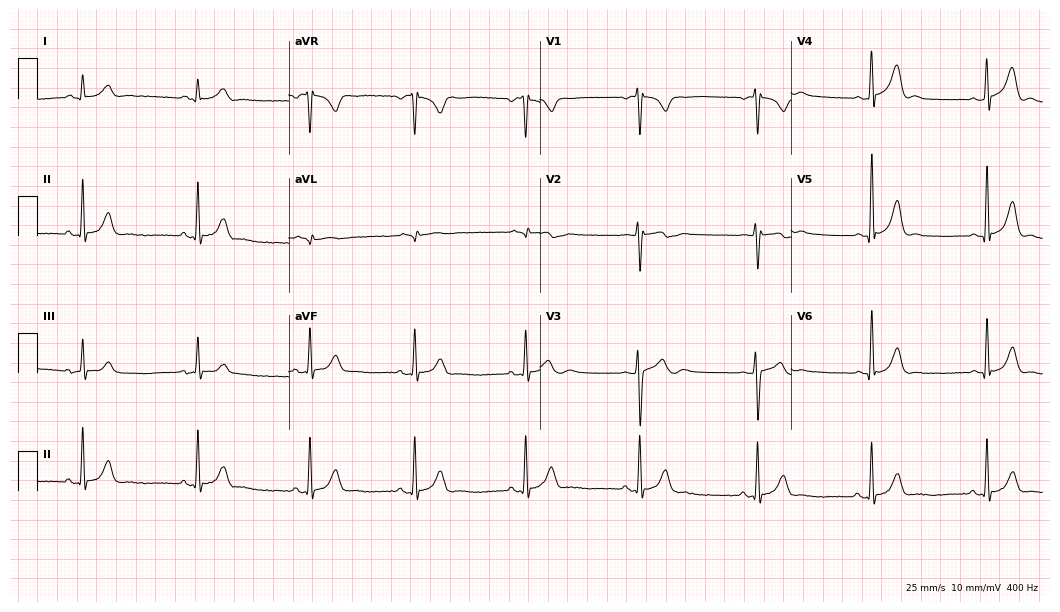
Resting 12-lead electrocardiogram. Patient: a male, 27 years old. Read as a normal ECG.